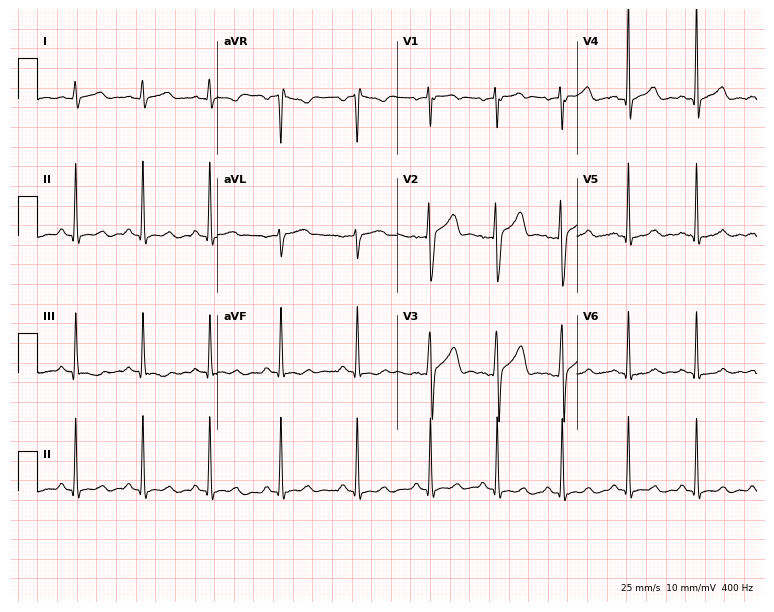
12-lead ECG from a male patient, 33 years old. Labelled as a normal ECG.